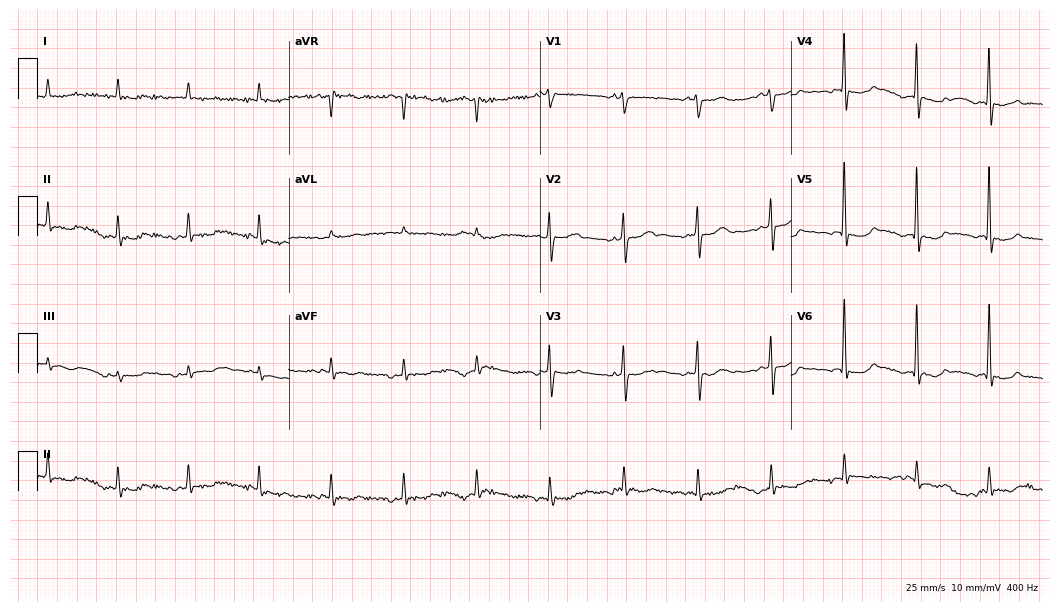
12-lead ECG from a man, 77 years old. No first-degree AV block, right bundle branch block (RBBB), left bundle branch block (LBBB), sinus bradycardia, atrial fibrillation (AF) or sinus tachycardia recorded for this tracing. Findings outside these six are not listed.